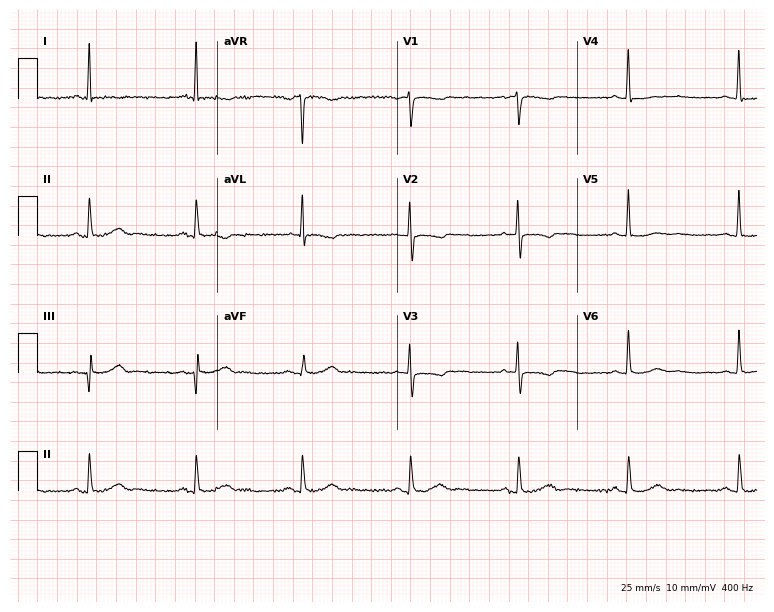
Standard 12-lead ECG recorded from a female patient, 62 years old. None of these six findings is recorded: first-degree AV block, right bundle branch block, left bundle branch block, sinus bradycardia, atrial fibrillation, sinus tachycardia.